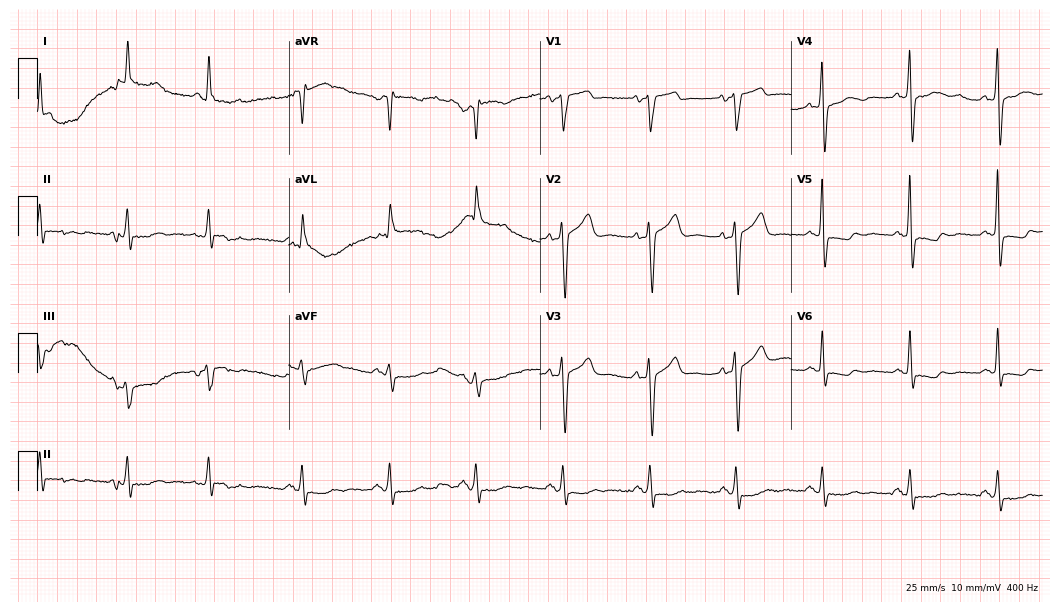
Electrocardiogram (10.2-second recording at 400 Hz), an 83-year-old male. Of the six screened findings (first-degree AV block, right bundle branch block, left bundle branch block, sinus bradycardia, atrial fibrillation, sinus tachycardia), none is recorded.